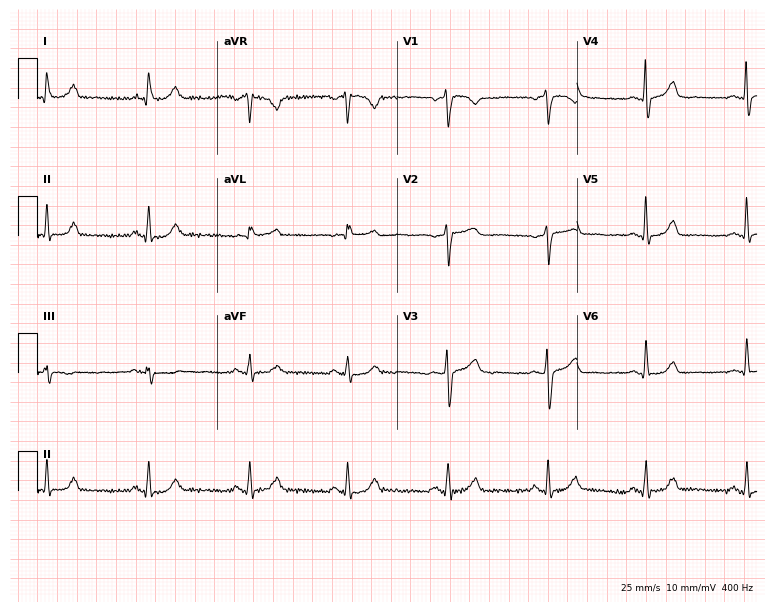
Resting 12-lead electrocardiogram. Patient: a 54-year-old man. Read as a normal ECG.